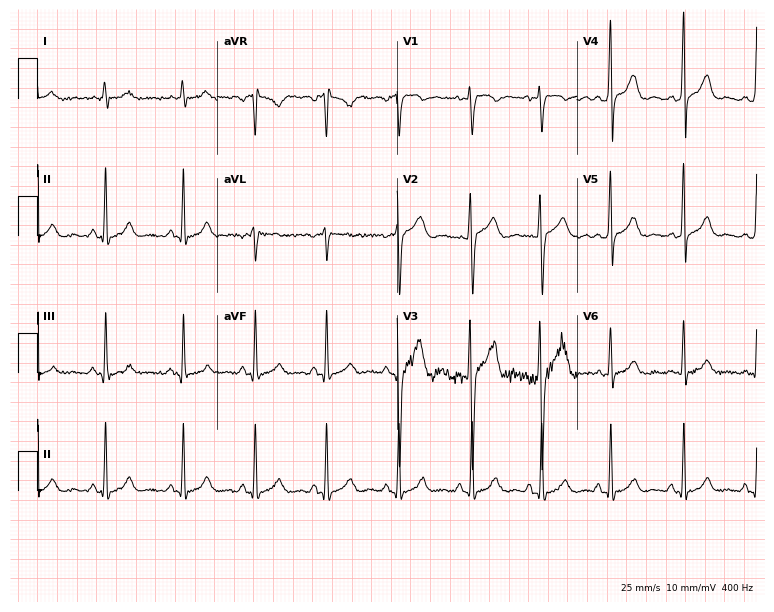
Standard 12-lead ECG recorded from a man, 21 years old. Read as a normal ECG.